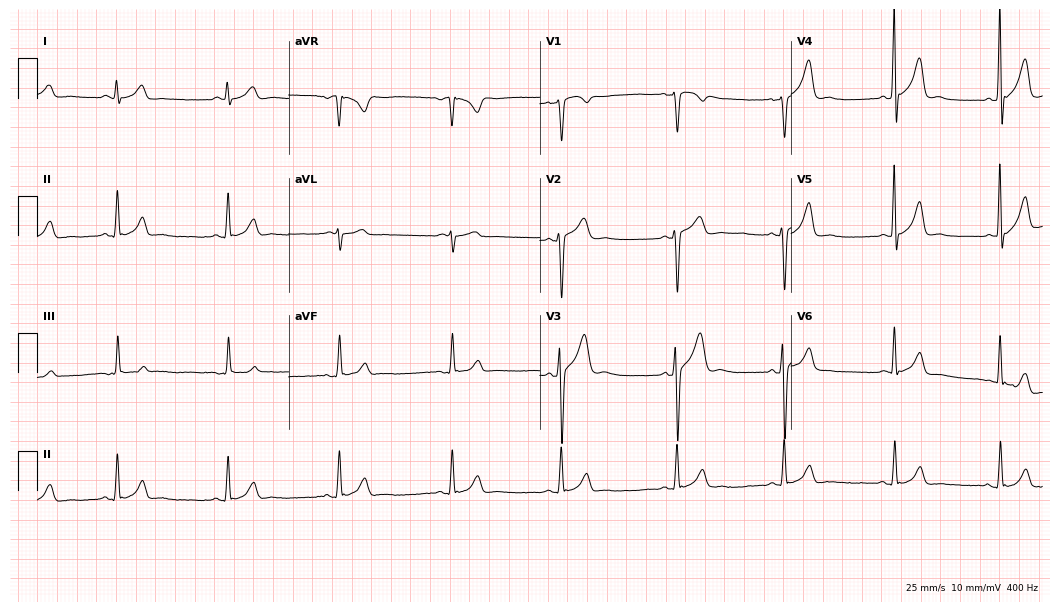
ECG (10.2-second recording at 400 Hz) — a man, 29 years old. Labelled as a normal ECG.